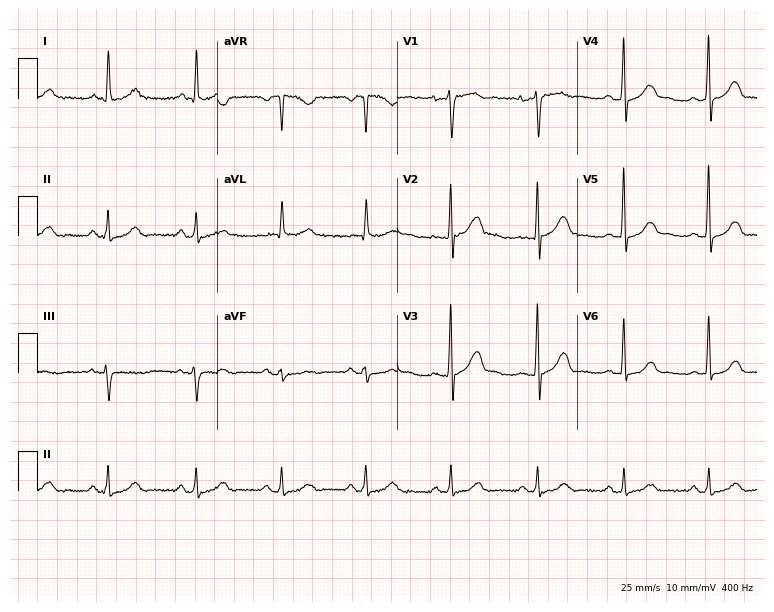
12-lead ECG from a male patient, 58 years old. Screened for six findings — first-degree AV block, right bundle branch block, left bundle branch block, sinus bradycardia, atrial fibrillation, sinus tachycardia — none is recorded.